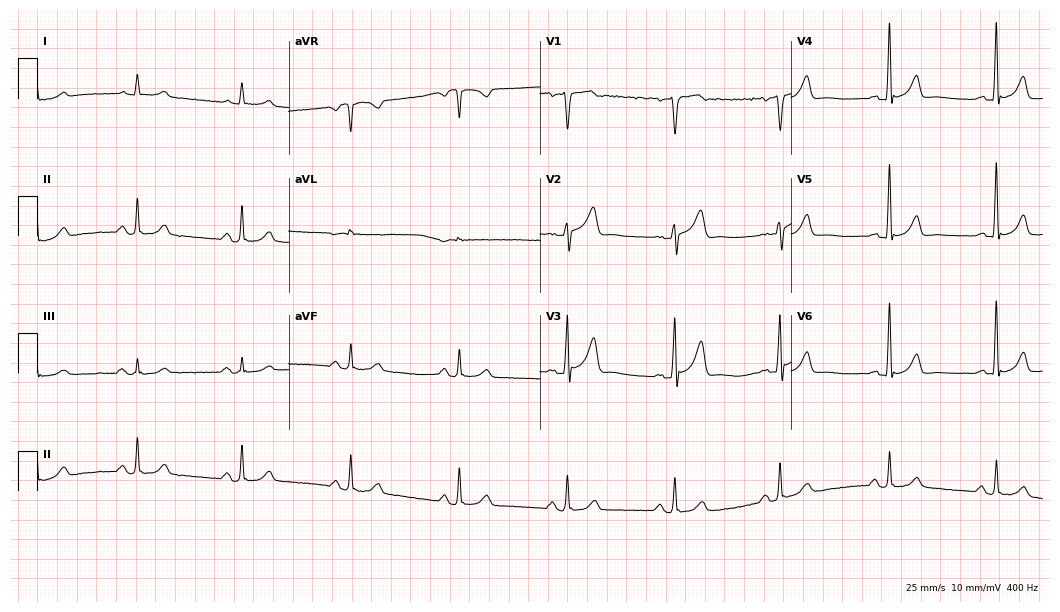
Standard 12-lead ECG recorded from a male, 68 years old (10.2-second recording at 400 Hz). Read as a normal ECG.